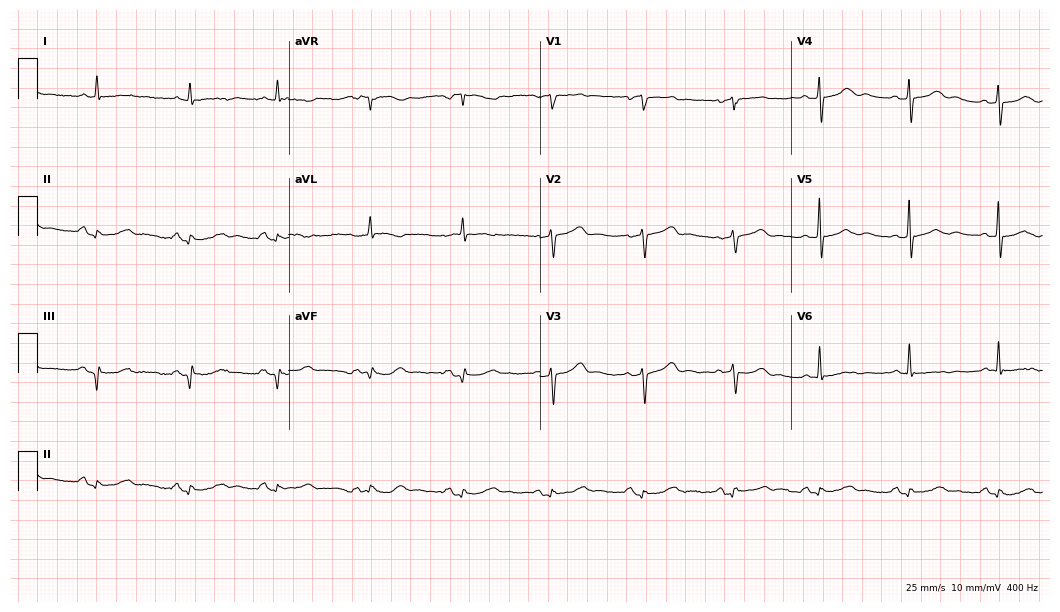
Resting 12-lead electrocardiogram. Patient: an 80-year-old female. None of these six findings is recorded: first-degree AV block, right bundle branch block, left bundle branch block, sinus bradycardia, atrial fibrillation, sinus tachycardia. Findings outside these six are not listed.